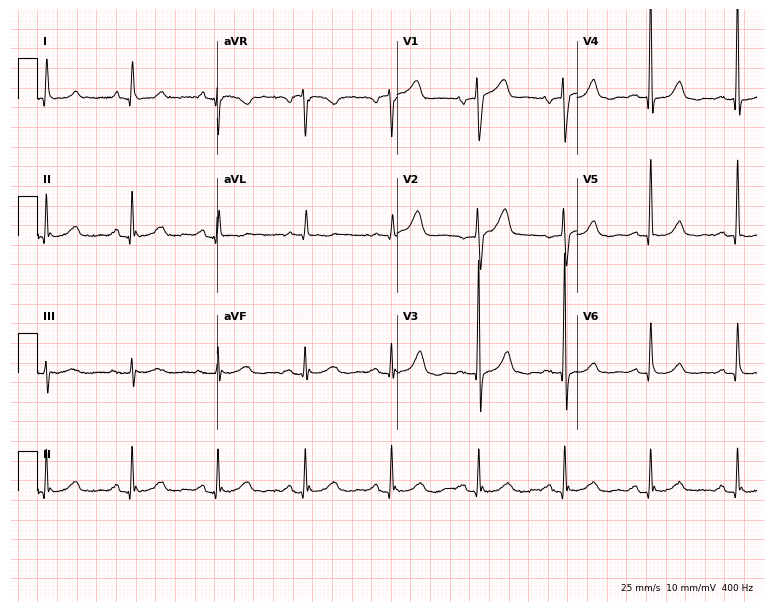
12-lead ECG from an 85-year-old female patient (7.3-second recording at 400 Hz). No first-degree AV block, right bundle branch block, left bundle branch block, sinus bradycardia, atrial fibrillation or sinus tachycardia recorded for this tracing.